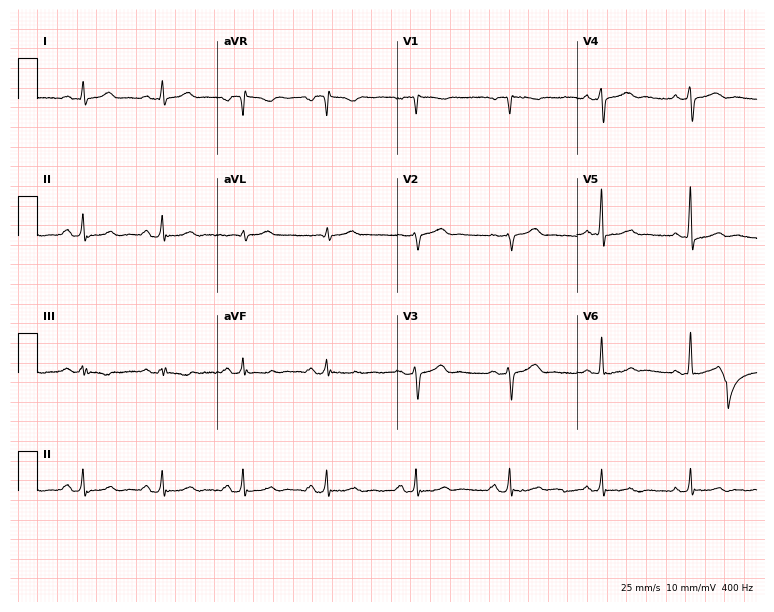
12-lead ECG from a 69-year-old man. Recorded interpretation: within normal limits.